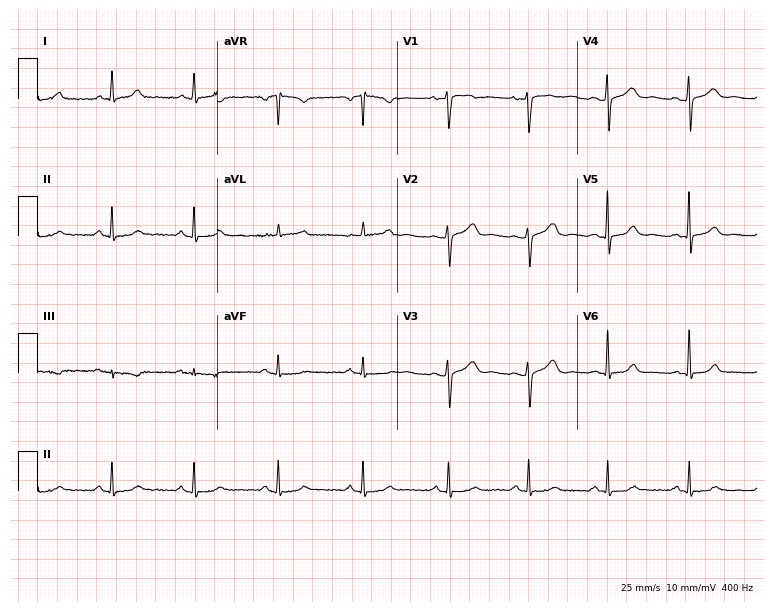
ECG — a woman, 36 years old. Labelled as a normal ECG.